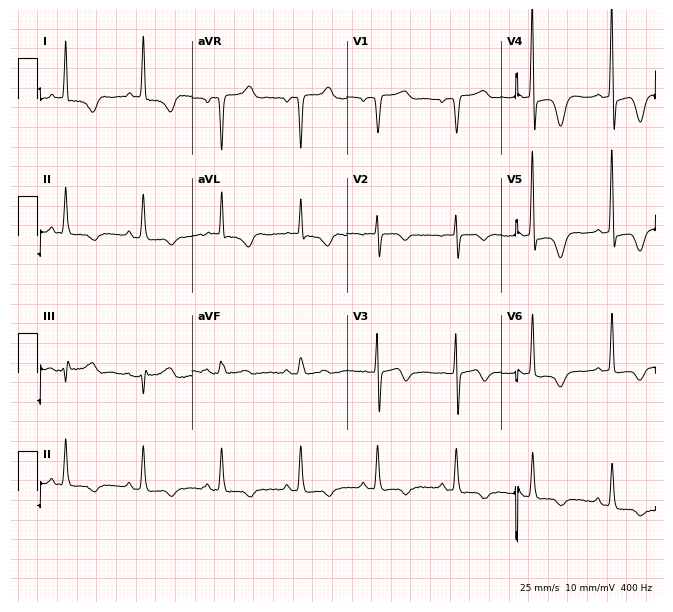
Standard 12-lead ECG recorded from a 78-year-old female patient (6.3-second recording at 400 Hz). None of these six findings is recorded: first-degree AV block, right bundle branch block, left bundle branch block, sinus bradycardia, atrial fibrillation, sinus tachycardia. Only these six findings were labelled.